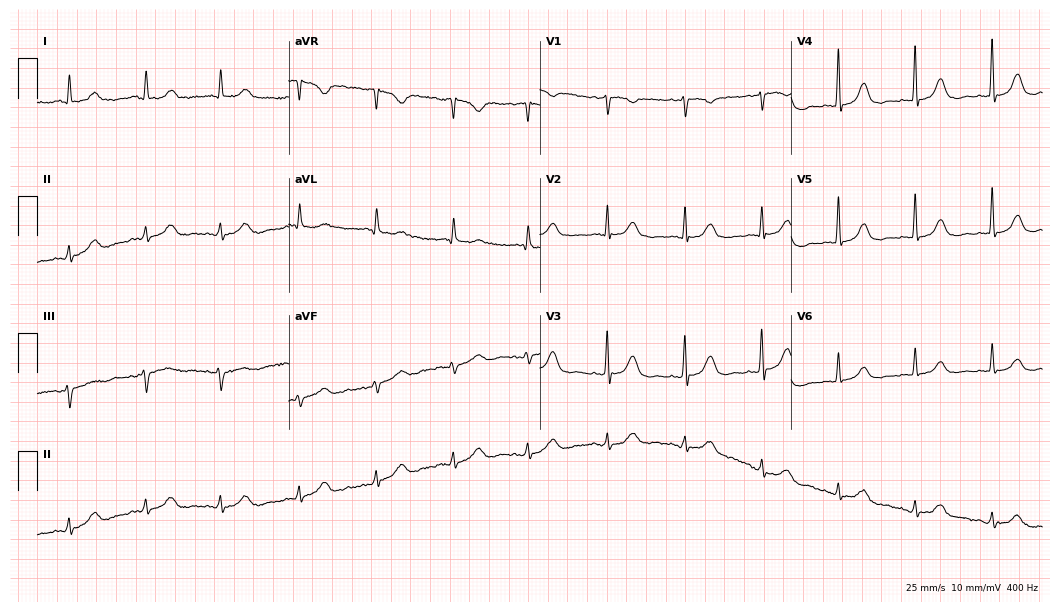
Standard 12-lead ECG recorded from an 85-year-old female (10.2-second recording at 400 Hz). Read as a normal ECG.